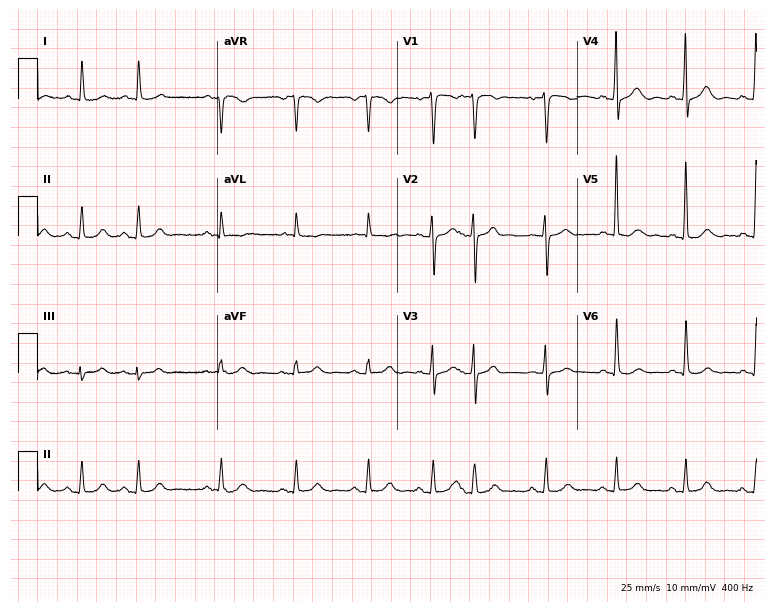
12-lead ECG from a man, 41 years old. No first-degree AV block, right bundle branch block, left bundle branch block, sinus bradycardia, atrial fibrillation or sinus tachycardia recorded for this tracing. Only these six findings were labelled.